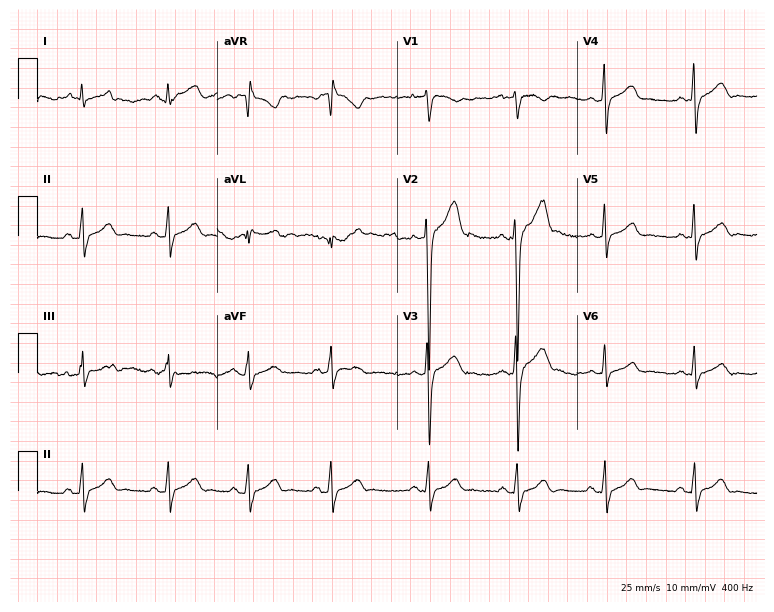
12-lead ECG (7.3-second recording at 400 Hz) from a male patient, 22 years old. Labelled as a normal ECG.